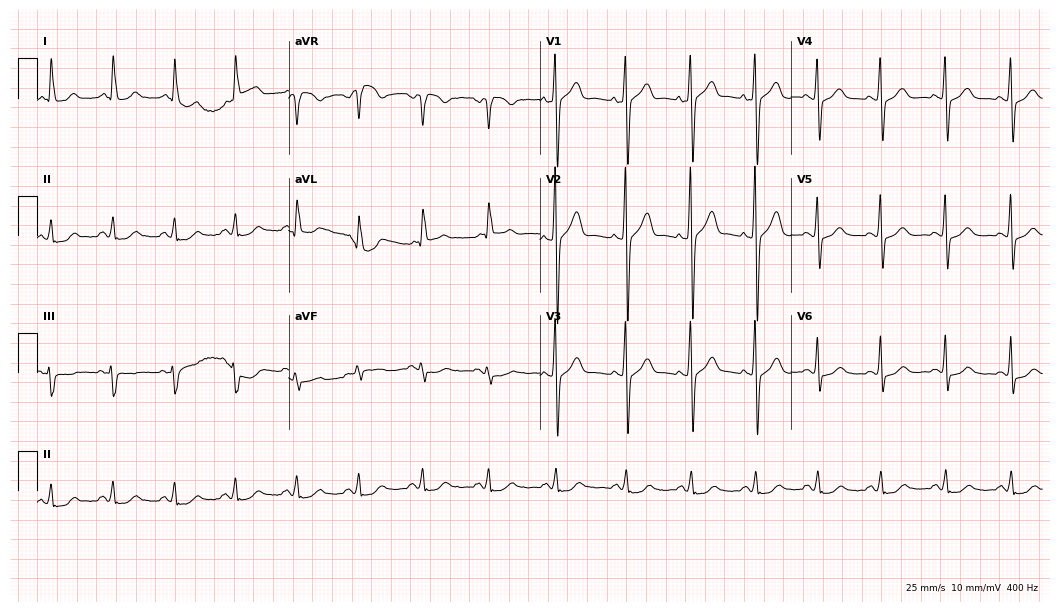
Resting 12-lead electrocardiogram. Patient: a male, 54 years old. Read as a normal ECG.